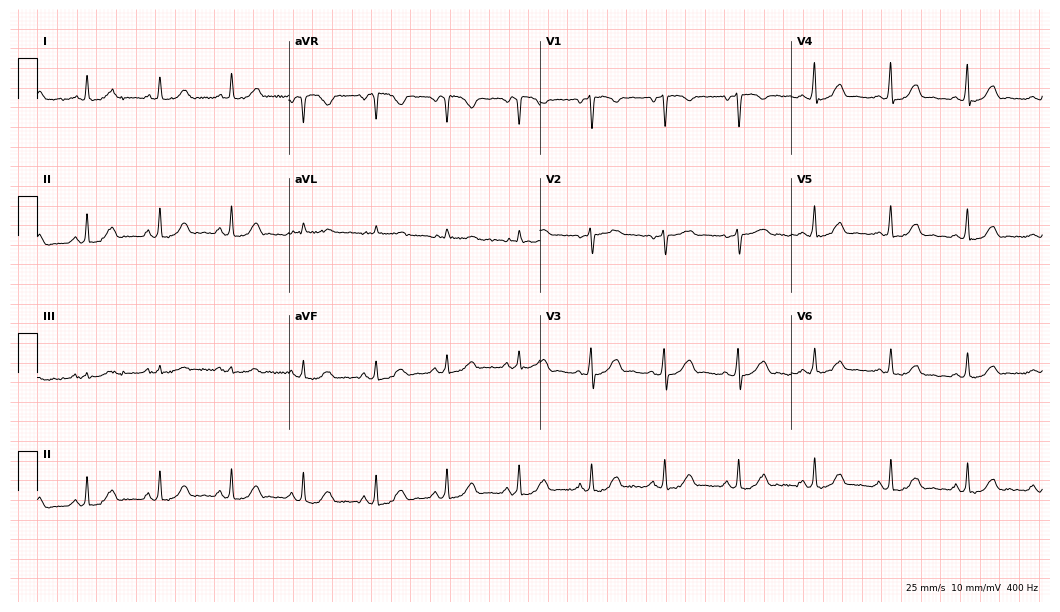
12-lead ECG (10.2-second recording at 400 Hz) from a female, 42 years old. Labelled as a normal ECG.